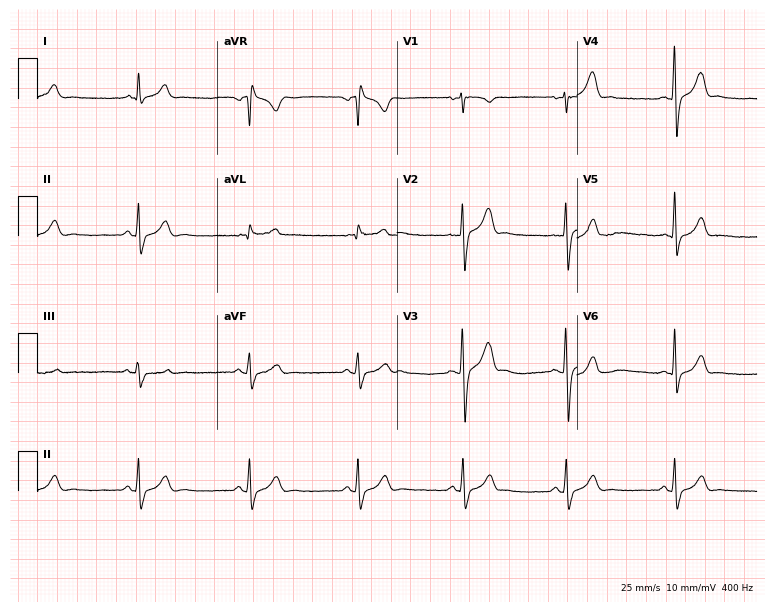
ECG — a 19-year-old male patient. Labelled as a normal ECG.